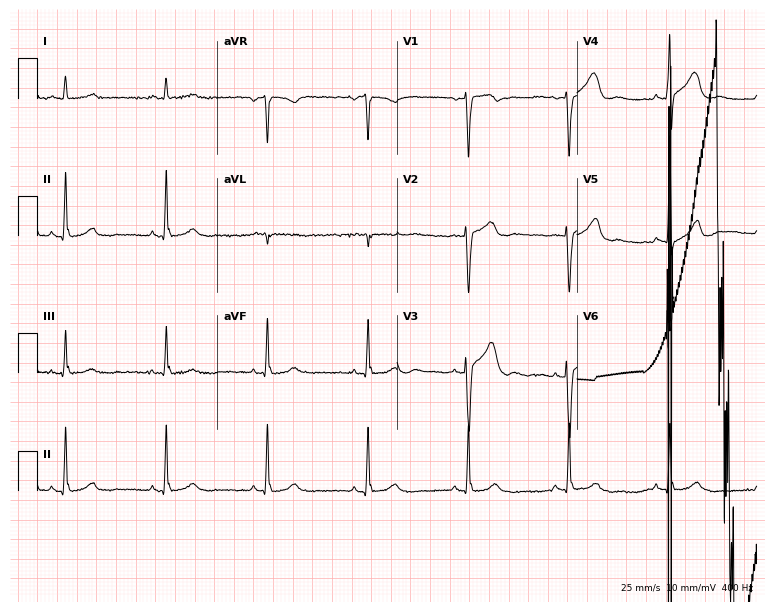
ECG (7.3-second recording at 400 Hz) — a man, 59 years old. Screened for six findings — first-degree AV block, right bundle branch block, left bundle branch block, sinus bradycardia, atrial fibrillation, sinus tachycardia — none is recorded.